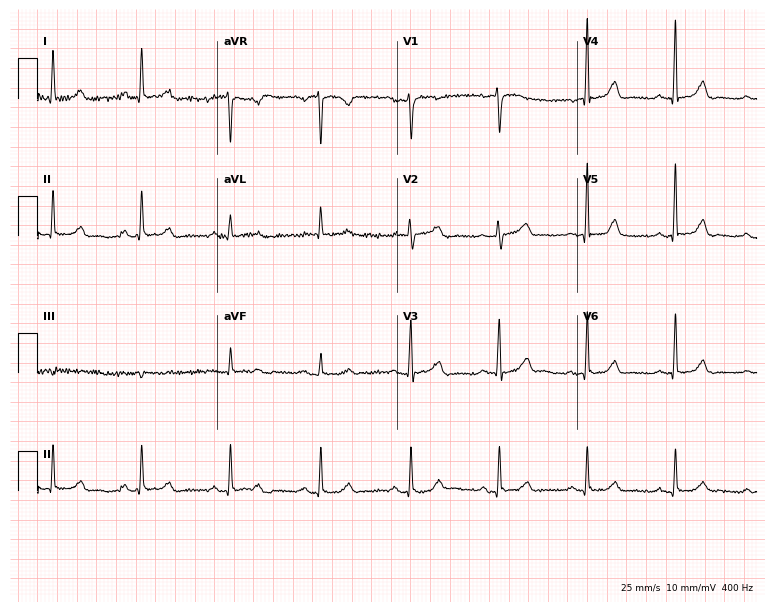
ECG (7.3-second recording at 400 Hz) — a female, 64 years old. Labelled as a normal ECG.